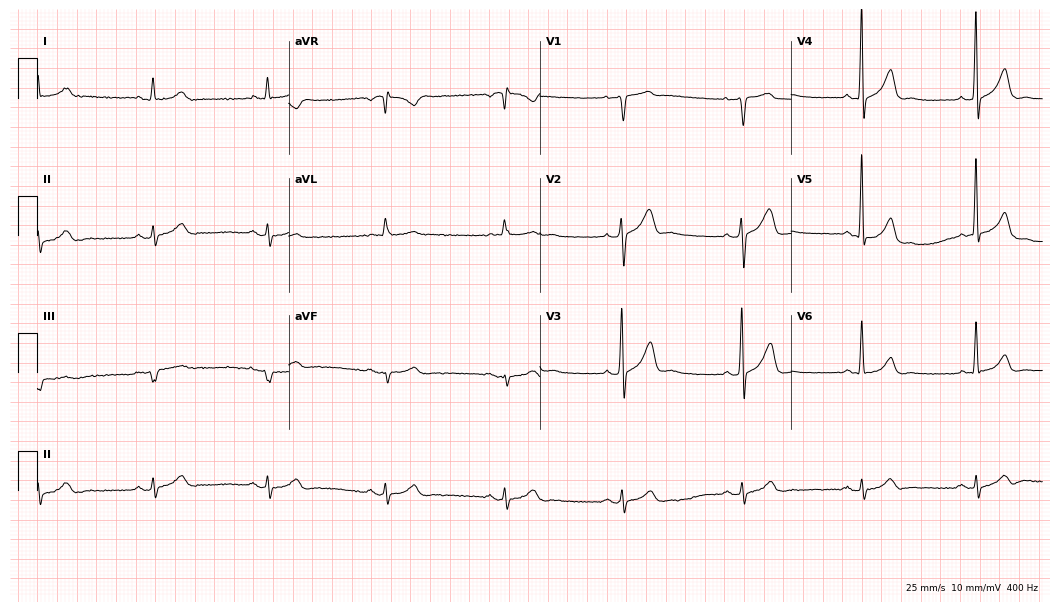
Resting 12-lead electrocardiogram (10.2-second recording at 400 Hz). Patient: a 61-year-old male. The tracing shows sinus bradycardia (a sinus rate of 50 beats per minute or less).